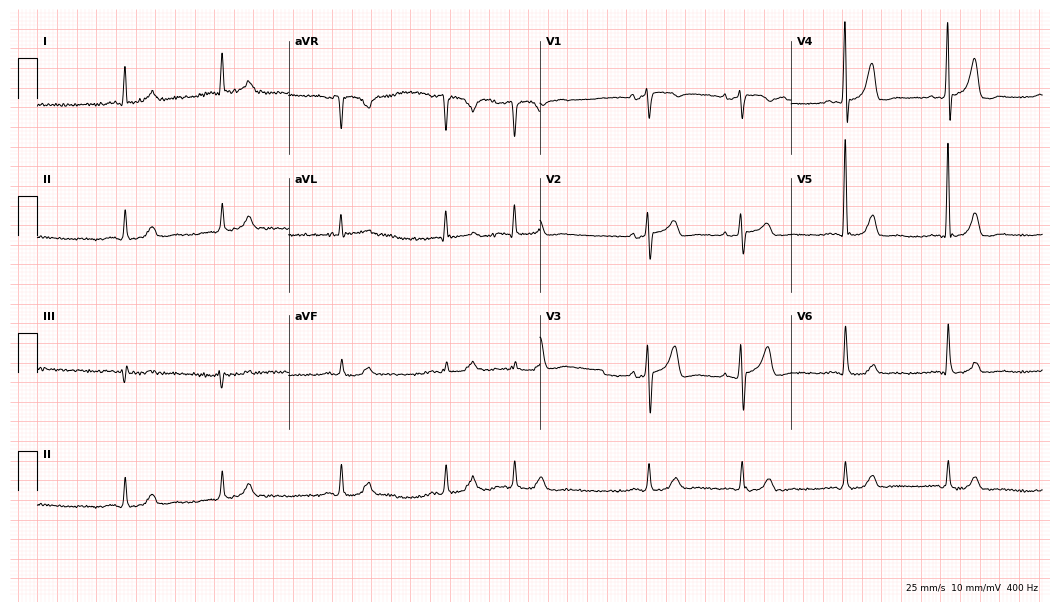
Electrocardiogram, a 74-year-old male. Of the six screened findings (first-degree AV block, right bundle branch block (RBBB), left bundle branch block (LBBB), sinus bradycardia, atrial fibrillation (AF), sinus tachycardia), none is recorded. Other findings, if any, are not listed.